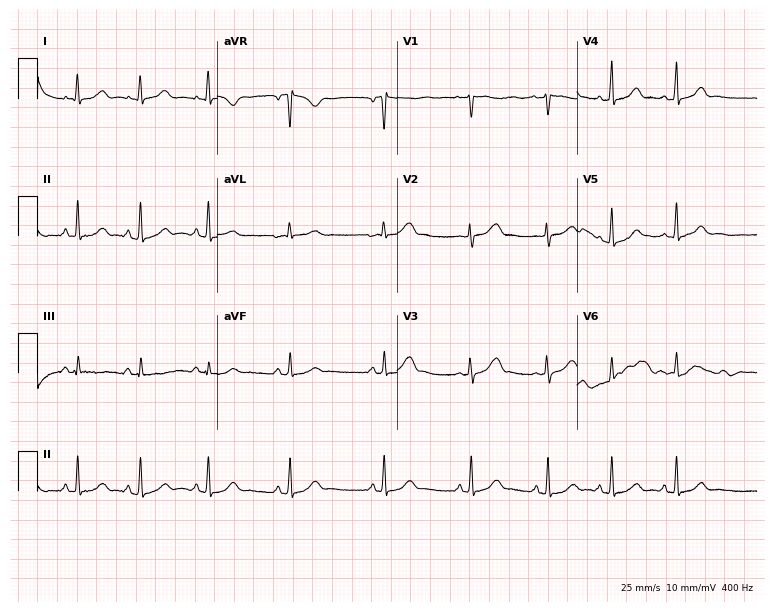
Resting 12-lead electrocardiogram (7.3-second recording at 400 Hz). Patient: a female, 20 years old. Read as a normal ECG.